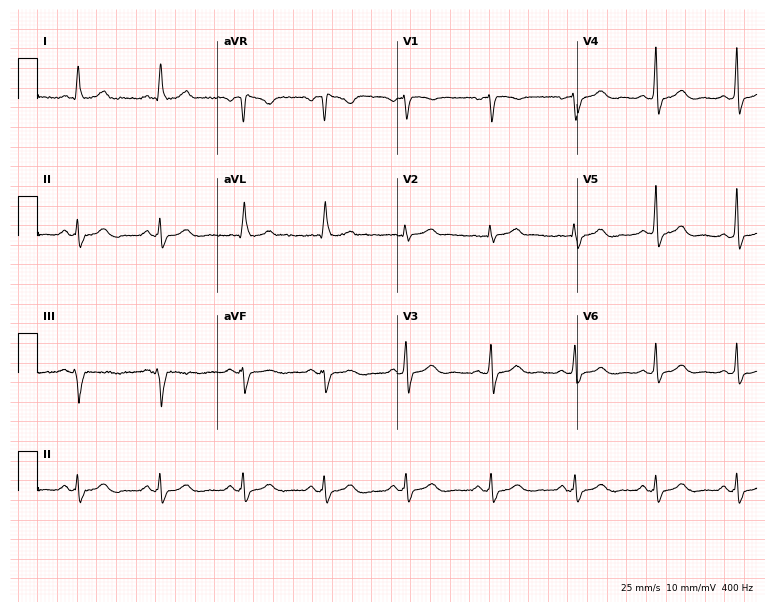
Resting 12-lead electrocardiogram (7.3-second recording at 400 Hz). Patient: a female, 61 years old. None of these six findings is recorded: first-degree AV block, right bundle branch block (RBBB), left bundle branch block (LBBB), sinus bradycardia, atrial fibrillation (AF), sinus tachycardia.